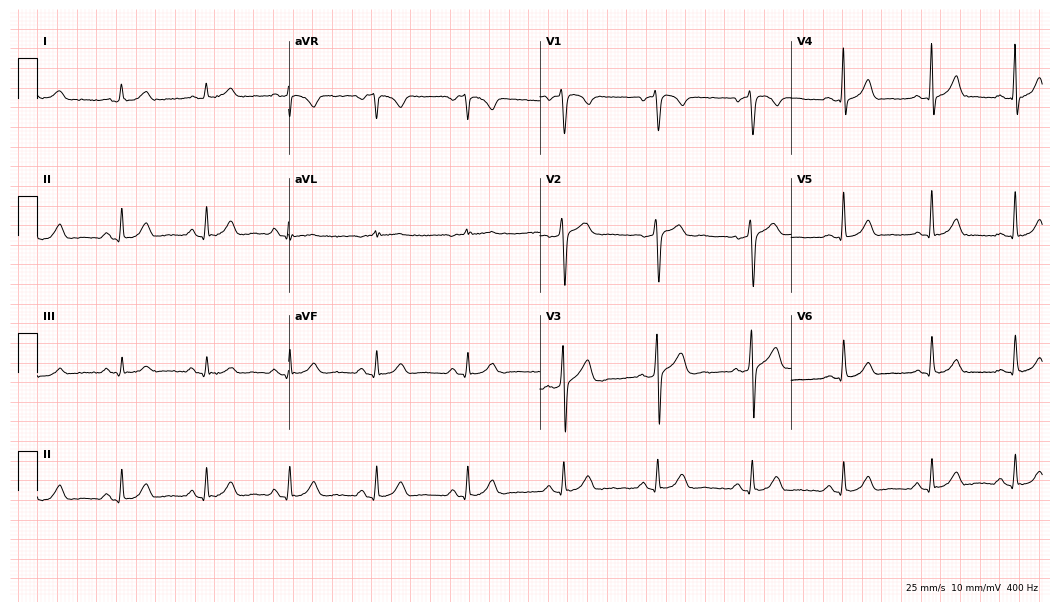
Electrocardiogram, a 35-year-old man. Overall reading on record: normal ECG.